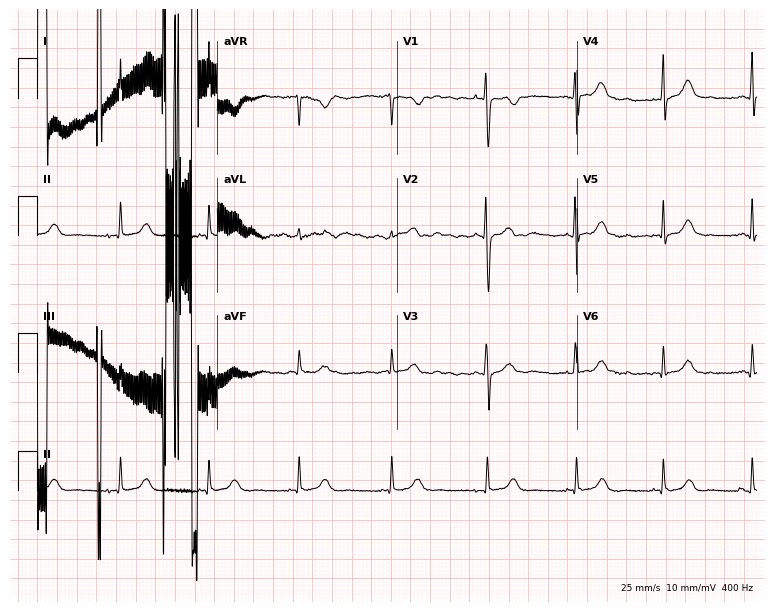
Resting 12-lead electrocardiogram. Patient: a female, 34 years old. None of these six findings is recorded: first-degree AV block, right bundle branch block, left bundle branch block, sinus bradycardia, atrial fibrillation, sinus tachycardia. Other findings, if any, are not listed.